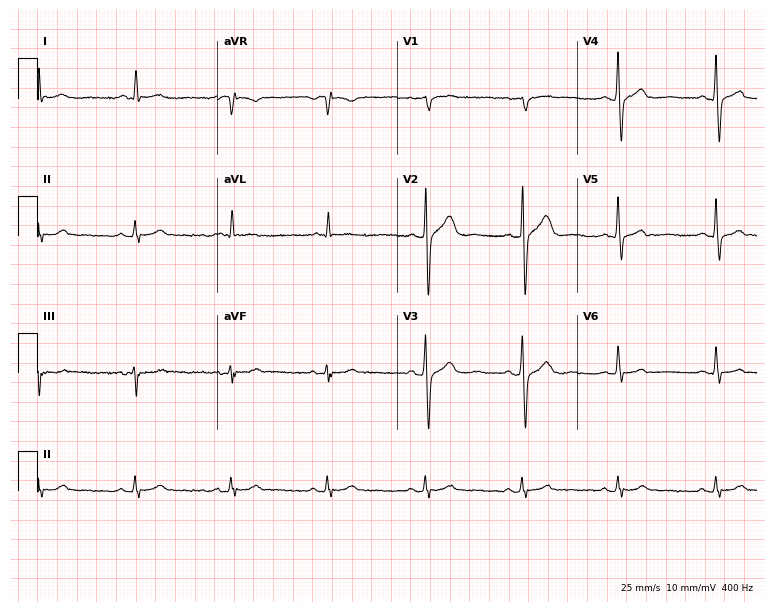
Electrocardiogram (7.3-second recording at 400 Hz), an 81-year-old man. Overall reading on record: normal ECG.